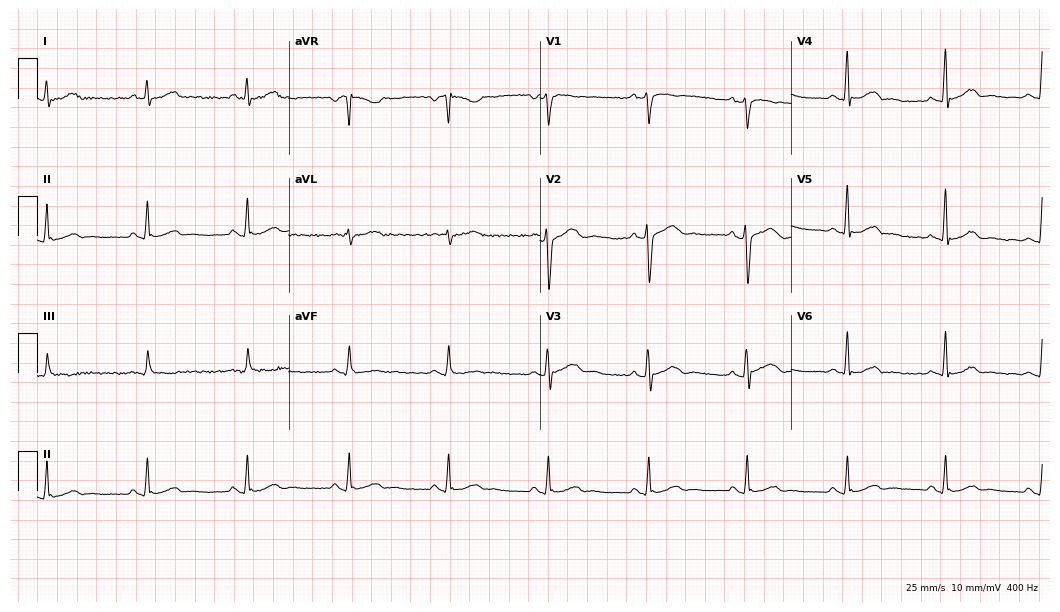
12-lead ECG from a man, 50 years old. Labelled as a normal ECG.